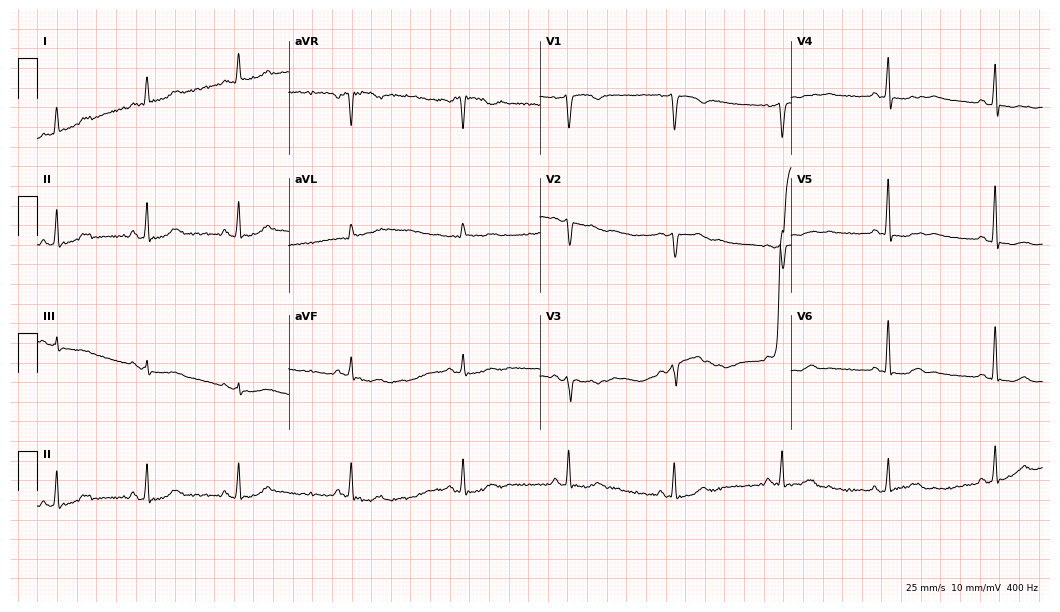
12-lead ECG from a 51-year-old female patient. No first-degree AV block, right bundle branch block, left bundle branch block, sinus bradycardia, atrial fibrillation or sinus tachycardia recorded for this tracing. Findings outside these six are not listed.